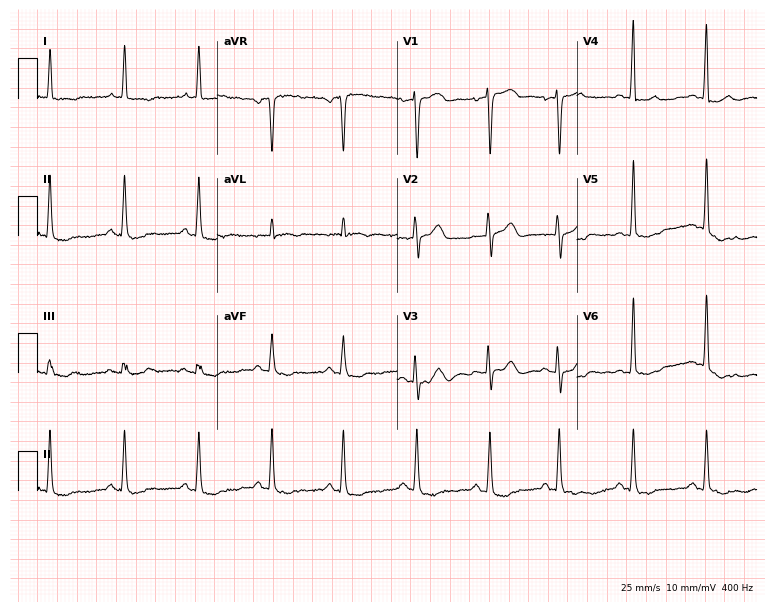
ECG — a woman, 86 years old. Screened for six findings — first-degree AV block, right bundle branch block, left bundle branch block, sinus bradycardia, atrial fibrillation, sinus tachycardia — none is recorded. Only these six findings were labelled.